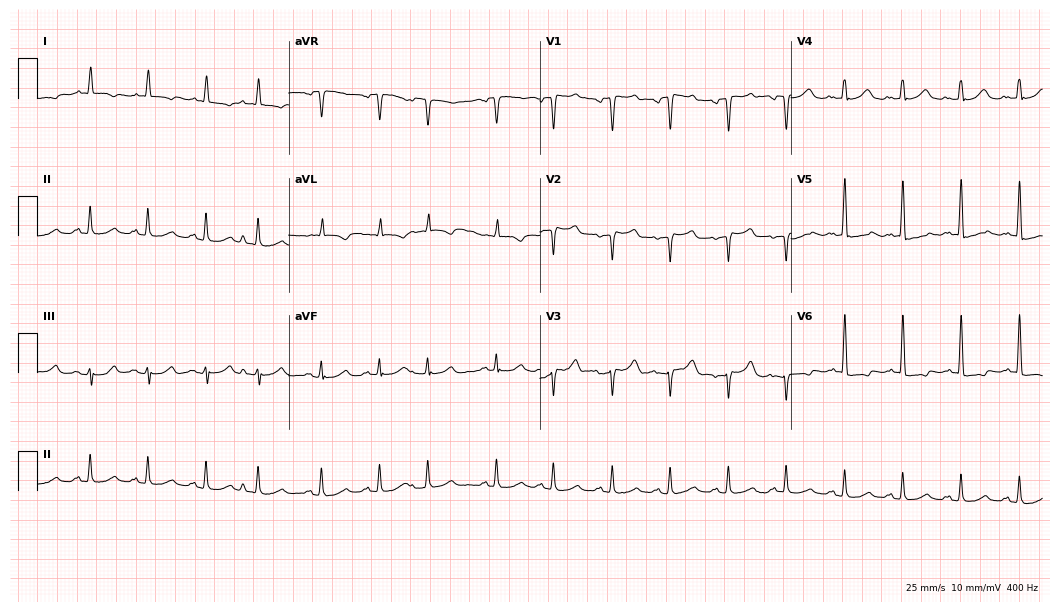
Resting 12-lead electrocardiogram (10.2-second recording at 400 Hz). Patient: an 82-year-old man. The tracing shows sinus tachycardia (a sinus rate of 100 beats per minute or more).